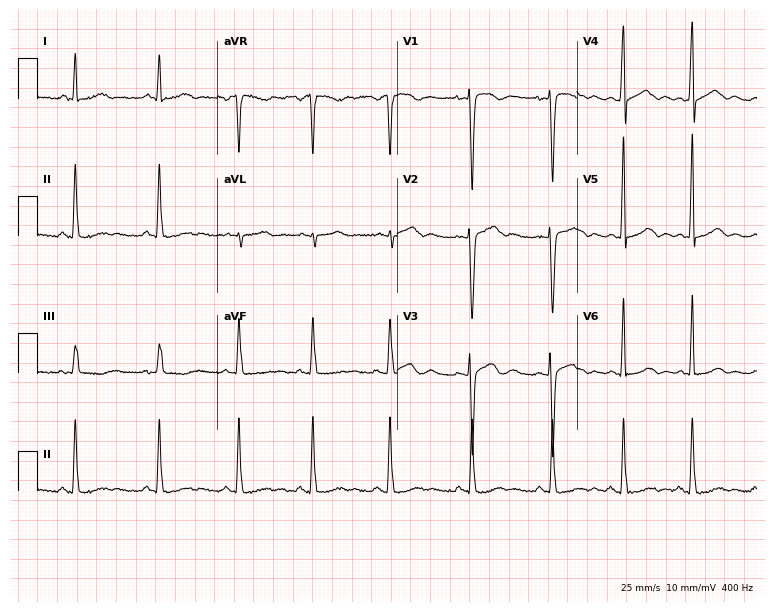
Resting 12-lead electrocardiogram. Patient: a 22-year-old female. None of these six findings is recorded: first-degree AV block, right bundle branch block, left bundle branch block, sinus bradycardia, atrial fibrillation, sinus tachycardia. Other findings, if any, are not listed.